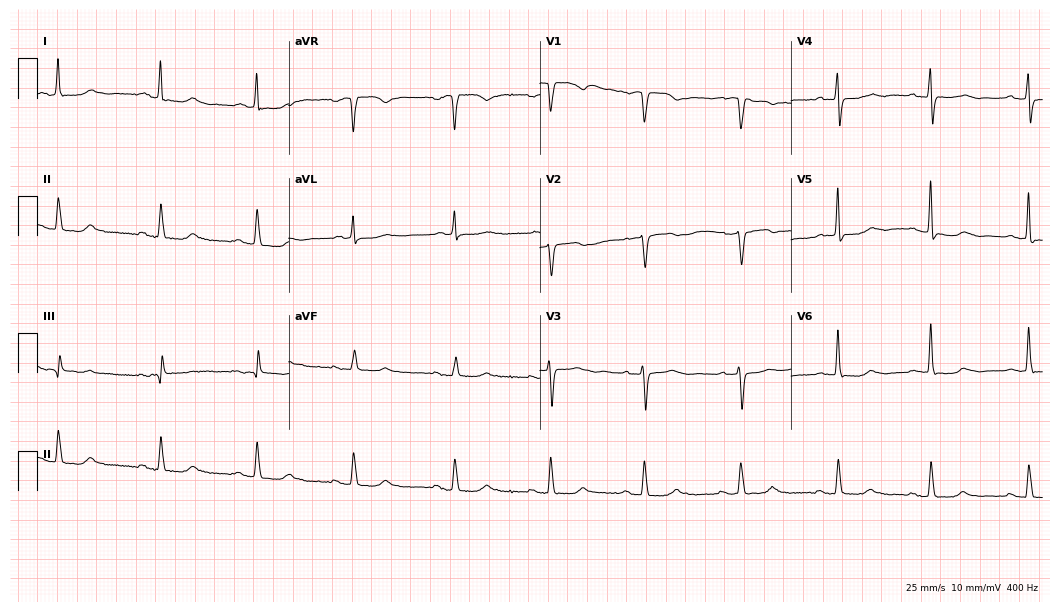
12-lead ECG (10.2-second recording at 400 Hz) from a female patient, 72 years old. Screened for six findings — first-degree AV block, right bundle branch block (RBBB), left bundle branch block (LBBB), sinus bradycardia, atrial fibrillation (AF), sinus tachycardia — none is recorded. Other findings, if any, are not listed.